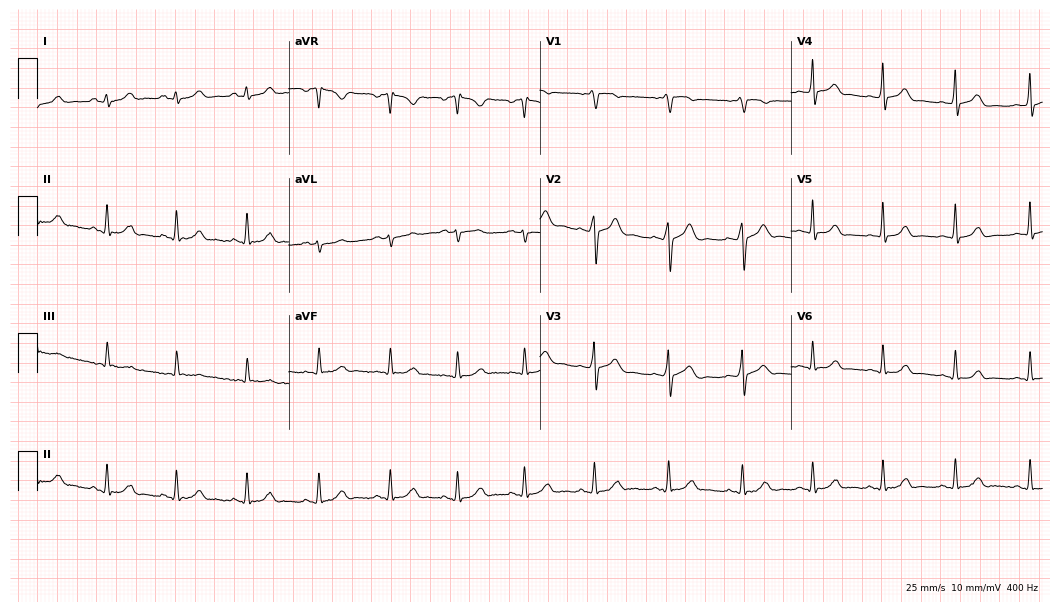
12-lead ECG from a woman, 19 years old. Labelled as a normal ECG.